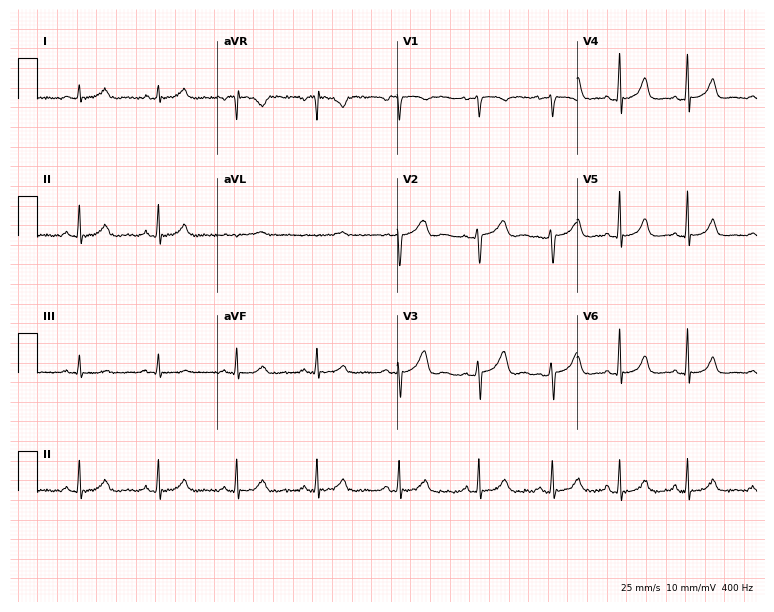
12-lead ECG from a female patient, 30 years old. Labelled as a normal ECG.